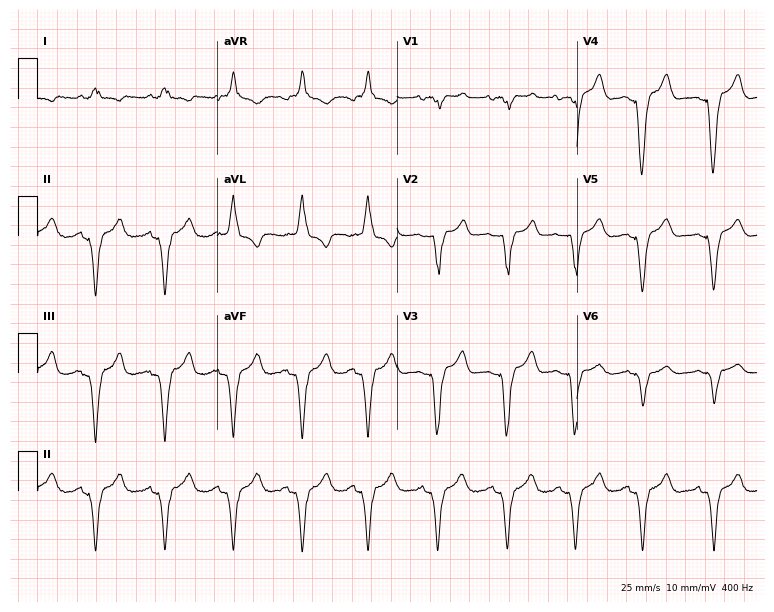
ECG (7.3-second recording at 400 Hz) — a 58-year-old woman. Screened for six findings — first-degree AV block, right bundle branch block (RBBB), left bundle branch block (LBBB), sinus bradycardia, atrial fibrillation (AF), sinus tachycardia — none is recorded.